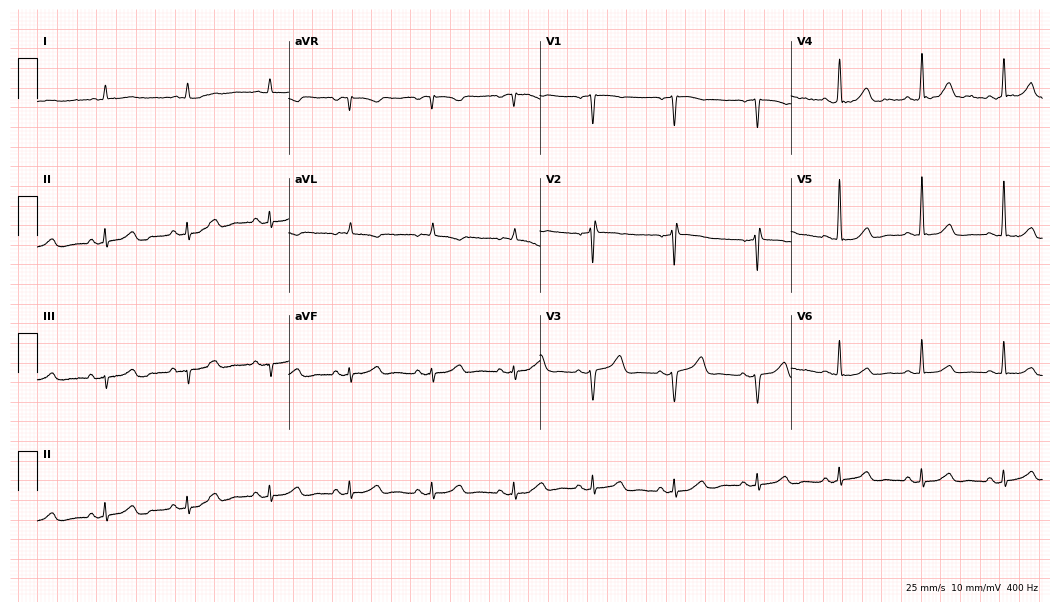
Electrocardiogram, a 52-year-old woman. Of the six screened findings (first-degree AV block, right bundle branch block, left bundle branch block, sinus bradycardia, atrial fibrillation, sinus tachycardia), none is recorded. Only these six findings were labelled.